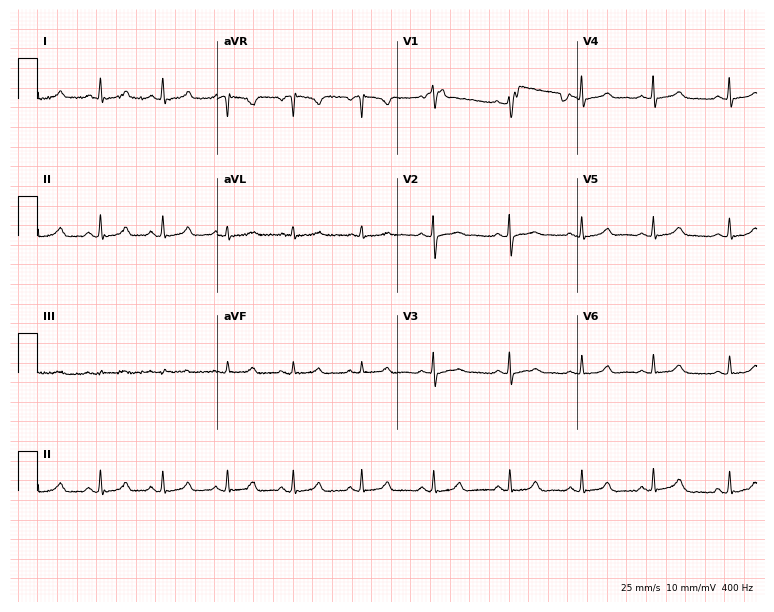
ECG (7.3-second recording at 400 Hz) — a 23-year-old woman. Labelled as a normal ECG.